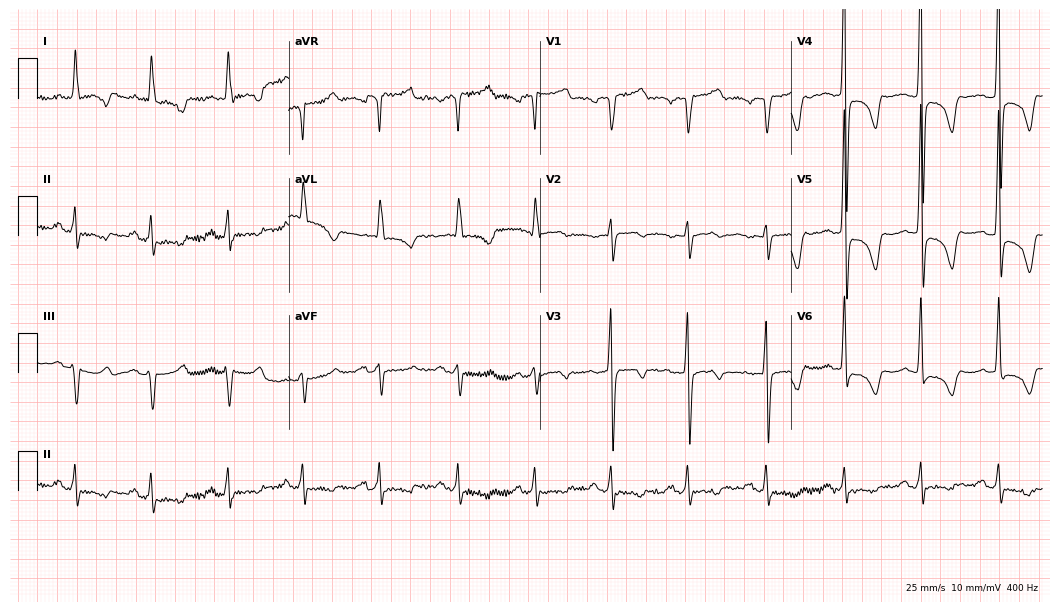
ECG — a 71-year-old man. Screened for six findings — first-degree AV block, right bundle branch block, left bundle branch block, sinus bradycardia, atrial fibrillation, sinus tachycardia — none is recorded. Only these six findings were labelled.